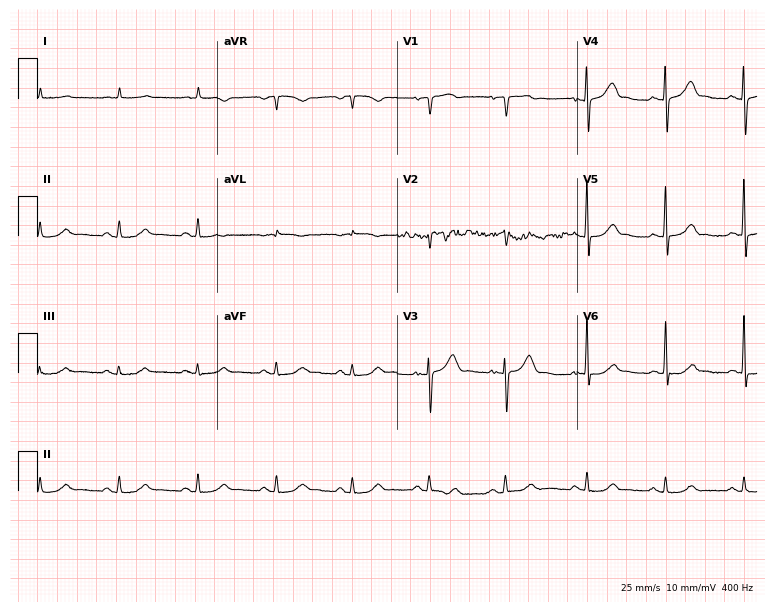
12-lead ECG from an 80-year-old man (7.3-second recording at 400 Hz). No first-degree AV block, right bundle branch block, left bundle branch block, sinus bradycardia, atrial fibrillation or sinus tachycardia recorded for this tracing. Findings outside these six are not listed.